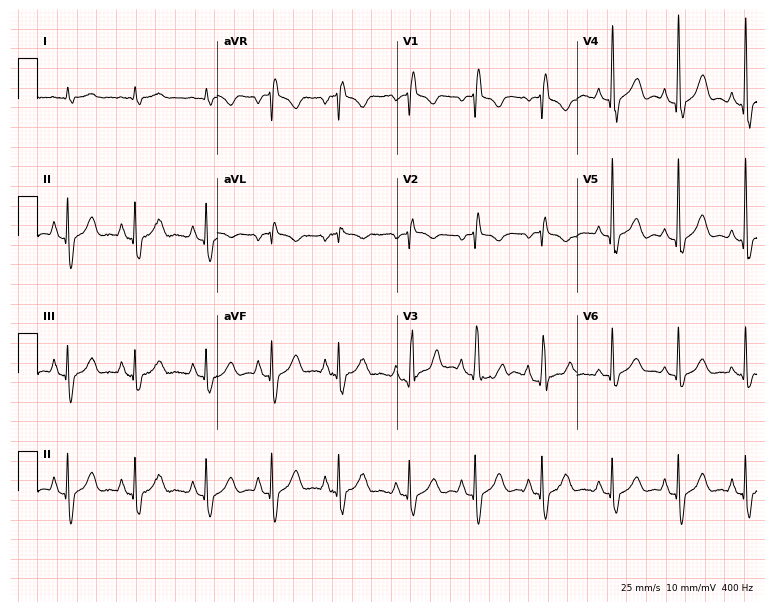
12-lead ECG from a male, 79 years old. Screened for six findings — first-degree AV block, right bundle branch block, left bundle branch block, sinus bradycardia, atrial fibrillation, sinus tachycardia — none is recorded.